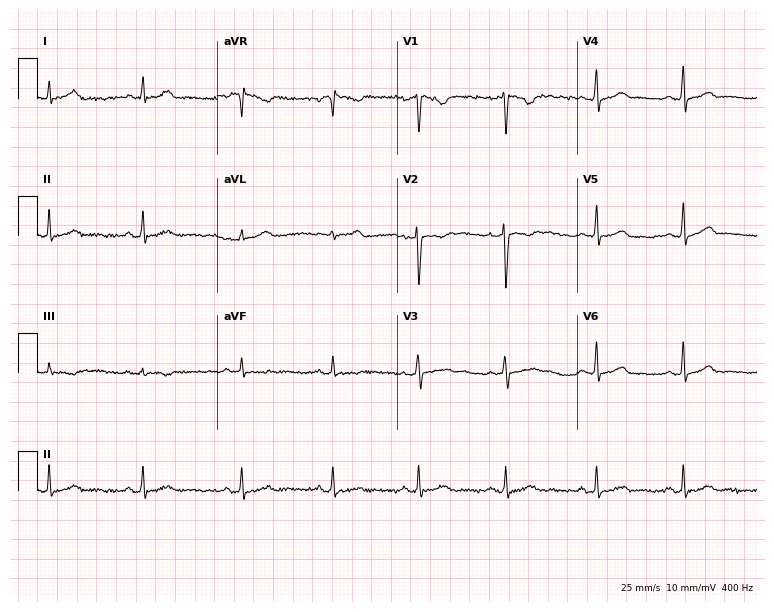
Resting 12-lead electrocardiogram (7.3-second recording at 400 Hz). Patient: a woman, 32 years old. None of these six findings is recorded: first-degree AV block, right bundle branch block, left bundle branch block, sinus bradycardia, atrial fibrillation, sinus tachycardia. Only these six findings were labelled.